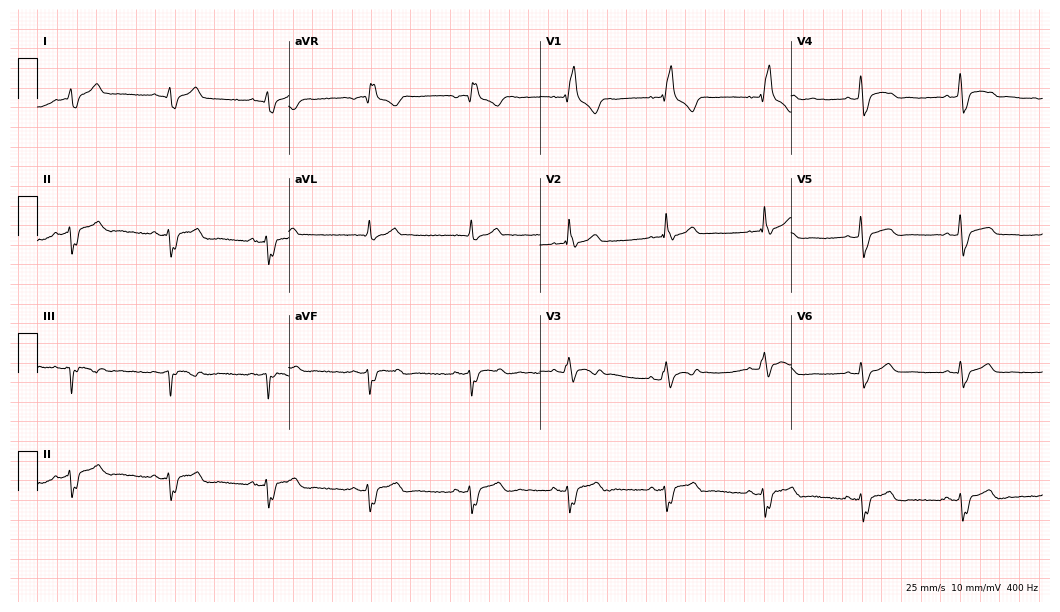
ECG — a male patient, 41 years old. Findings include right bundle branch block.